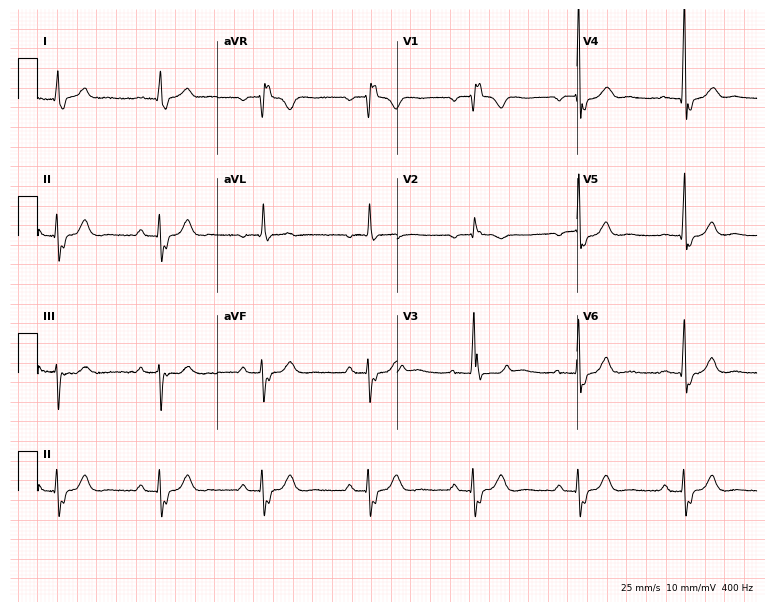
12-lead ECG from a 56-year-old woman. Findings include right bundle branch block.